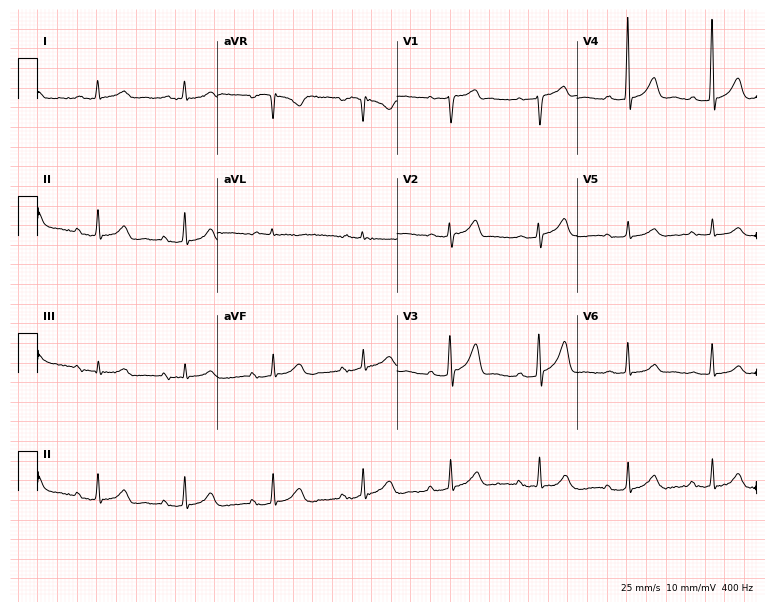
Resting 12-lead electrocardiogram (7.3-second recording at 400 Hz). Patient: a 78-year-old male. None of these six findings is recorded: first-degree AV block, right bundle branch block, left bundle branch block, sinus bradycardia, atrial fibrillation, sinus tachycardia.